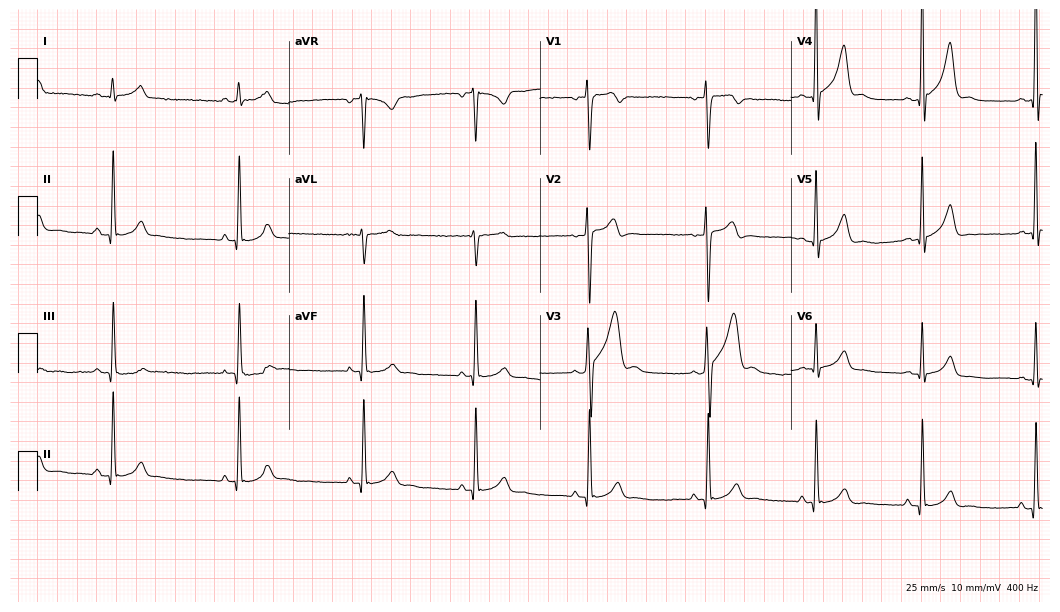
Resting 12-lead electrocardiogram (10.2-second recording at 400 Hz). Patient: a male, 23 years old. None of these six findings is recorded: first-degree AV block, right bundle branch block (RBBB), left bundle branch block (LBBB), sinus bradycardia, atrial fibrillation (AF), sinus tachycardia.